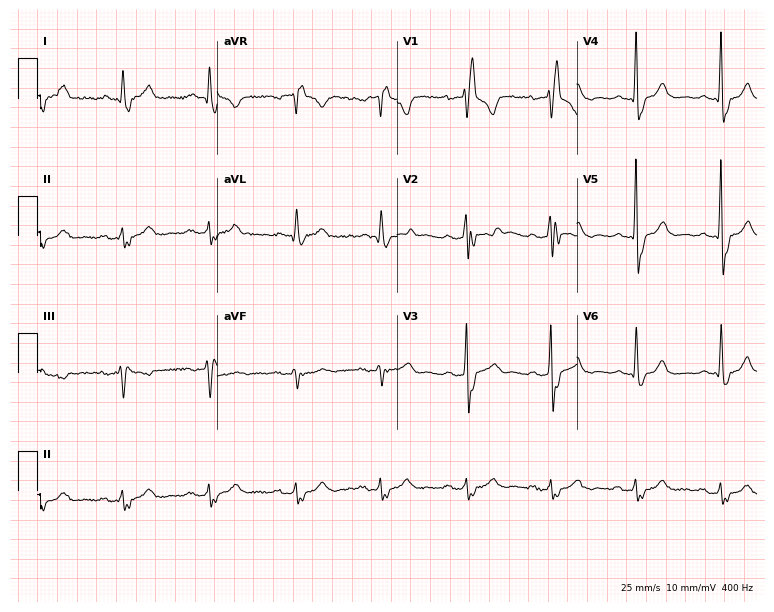
Standard 12-lead ECG recorded from a man, 54 years old. The tracing shows right bundle branch block.